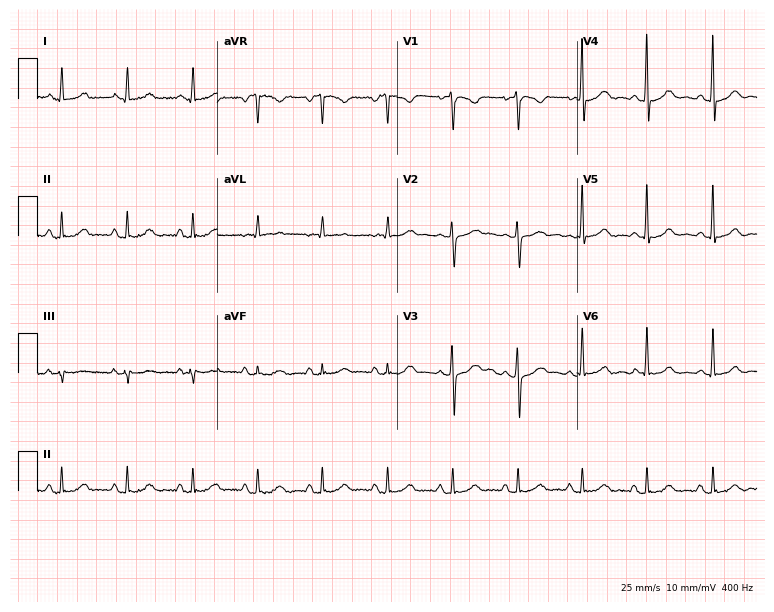
Standard 12-lead ECG recorded from a 36-year-old female patient. Read as a normal ECG.